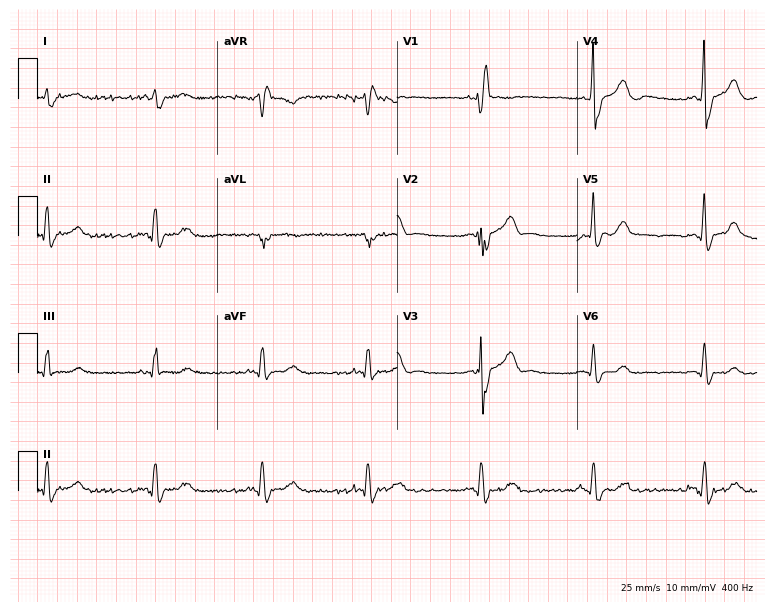
12-lead ECG (7.3-second recording at 400 Hz) from a male, 61 years old. Findings include right bundle branch block (RBBB).